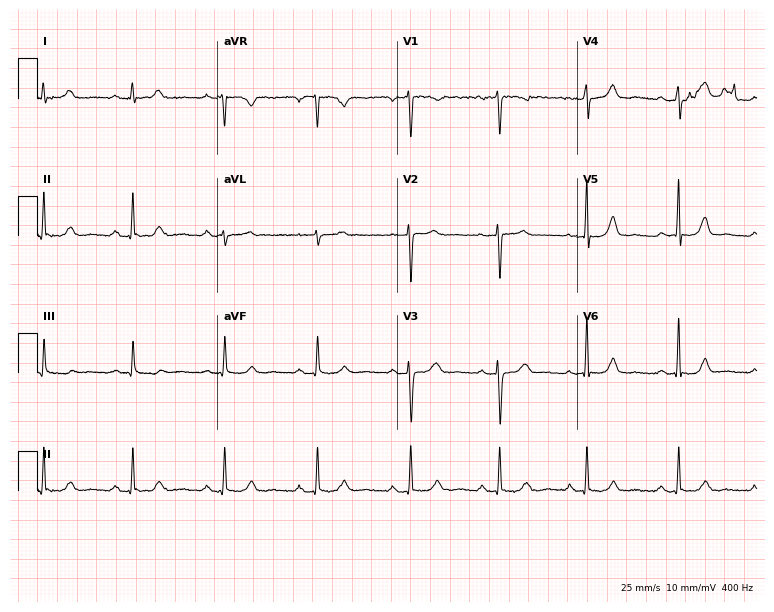
Electrocardiogram (7.3-second recording at 400 Hz), a woman, 39 years old. Of the six screened findings (first-degree AV block, right bundle branch block, left bundle branch block, sinus bradycardia, atrial fibrillation, sinus tachycardia), none is recorded.